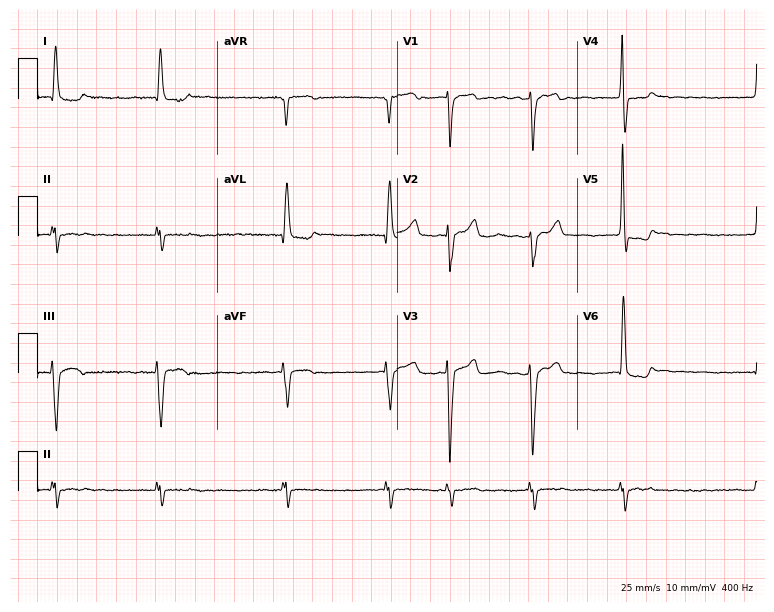
ECG (7.3-second recording at 400 Hz) — an 83-year-old female patient. Findings include atrial fibrillation.